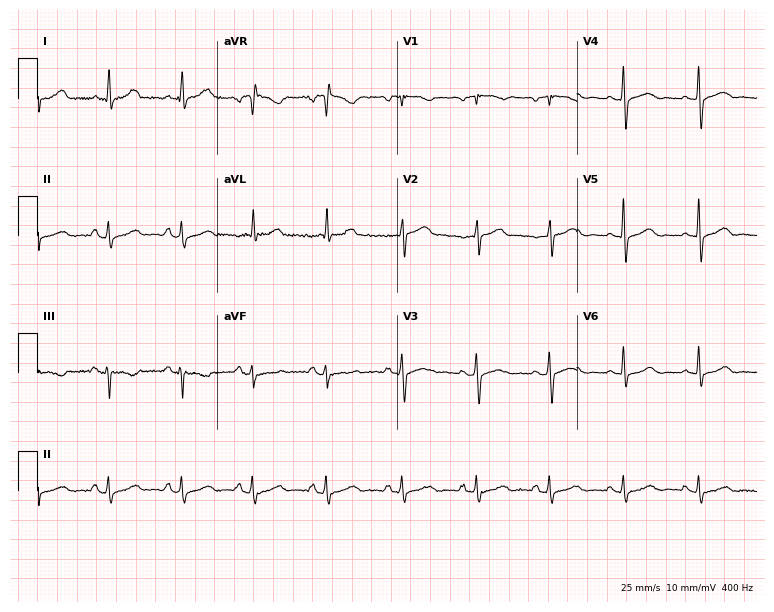
12-lead ECG from a female patient, 53 years old (7.3-second recording at 400 Hz). Recorded interpretation: within normal limits.